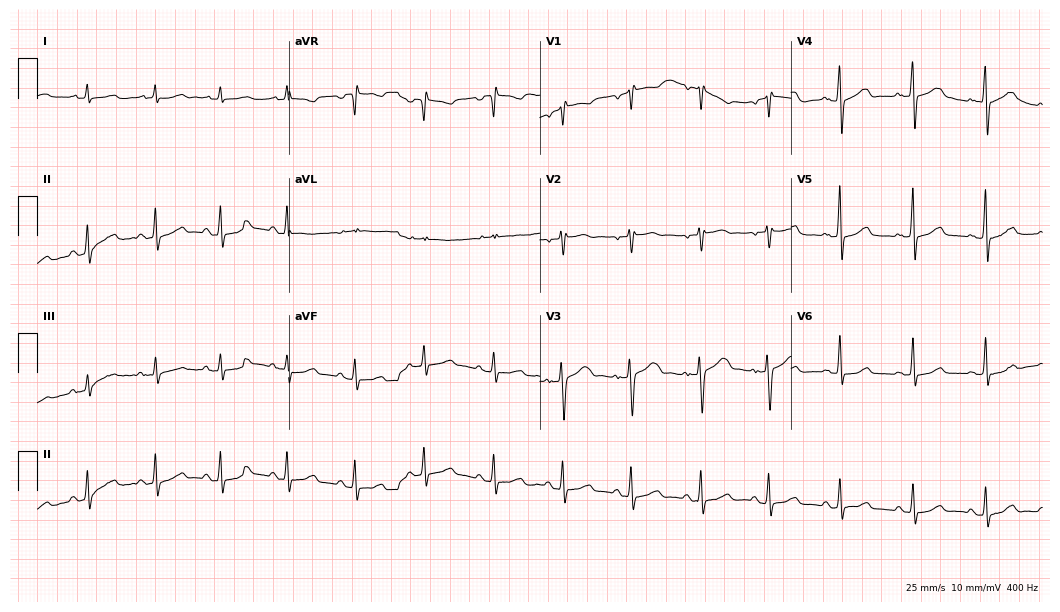
Standard 12-lead ECG recorded from a 43-year-old woman. None of these six findings is recorded: first-degree AV block, right bundle branch block (RBBB), left bundle branch block (LBBB), sinus bradycardia, atrial fibrillation (AF), sinus tachycardia.